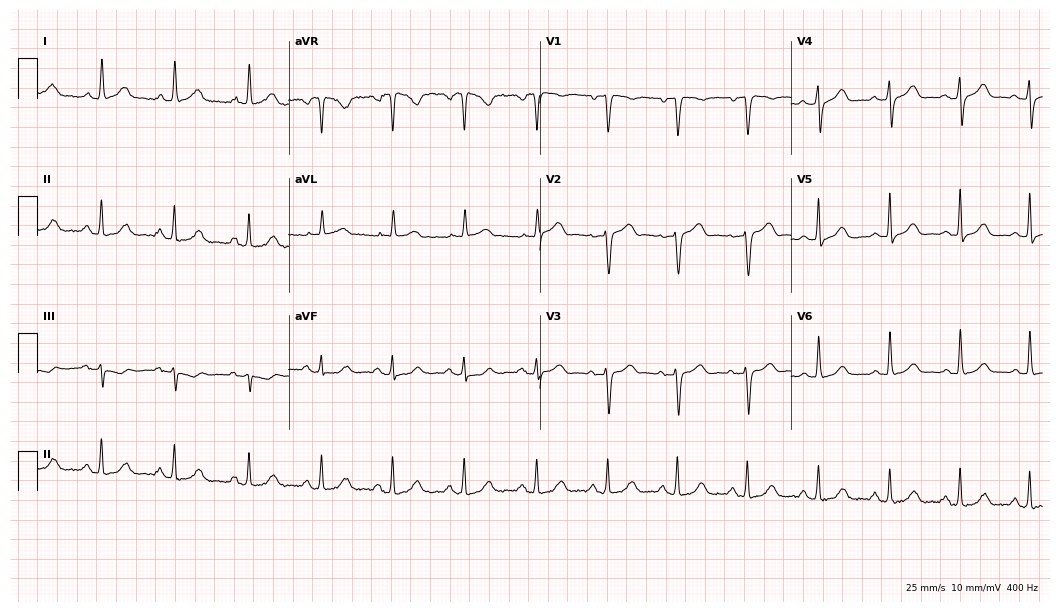
ECG (10.2-second recording at 400 Hz) — a 67-year-old female patient. Screened for six findings — first-degree AV block, right bundle branch block, left bundle branch block, sinus bradycardia, atrial fibrillation, sinus tachycardia — none is recorded.